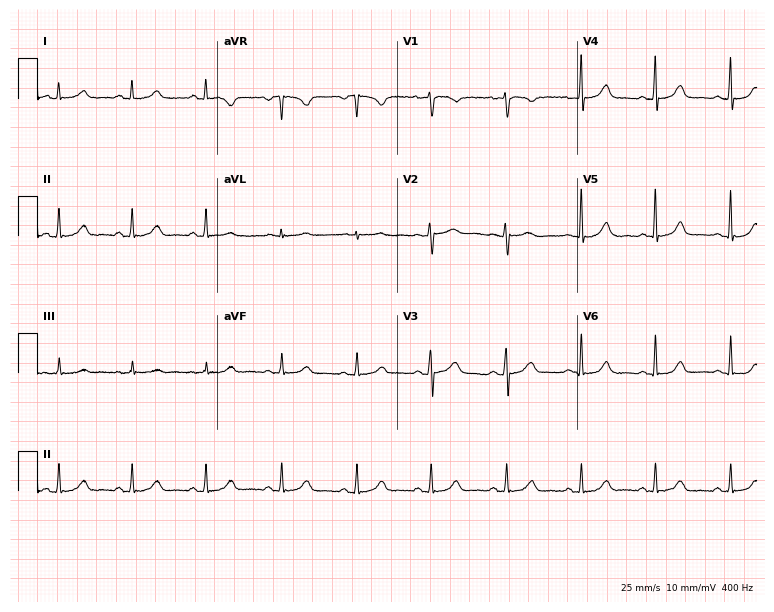
12-lead ECG from a 40-year-old female. Recorded interpretation: within normal limits.